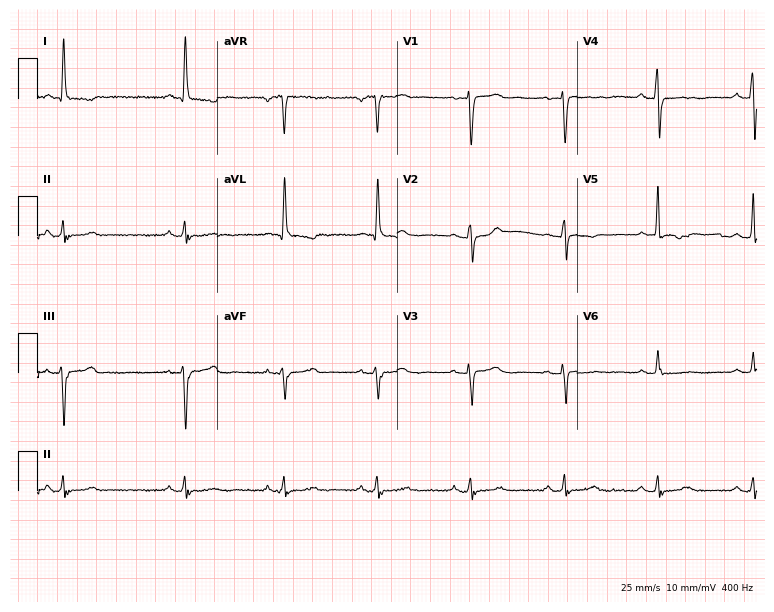
Electrocardiogram, a 68-year-old female. Of the six screened findings (first-degree AV block, right bundle branch block, left bundle branch block, sinus bradycardia, atrial fibrillation, sinus tachycardia), none is recorded.